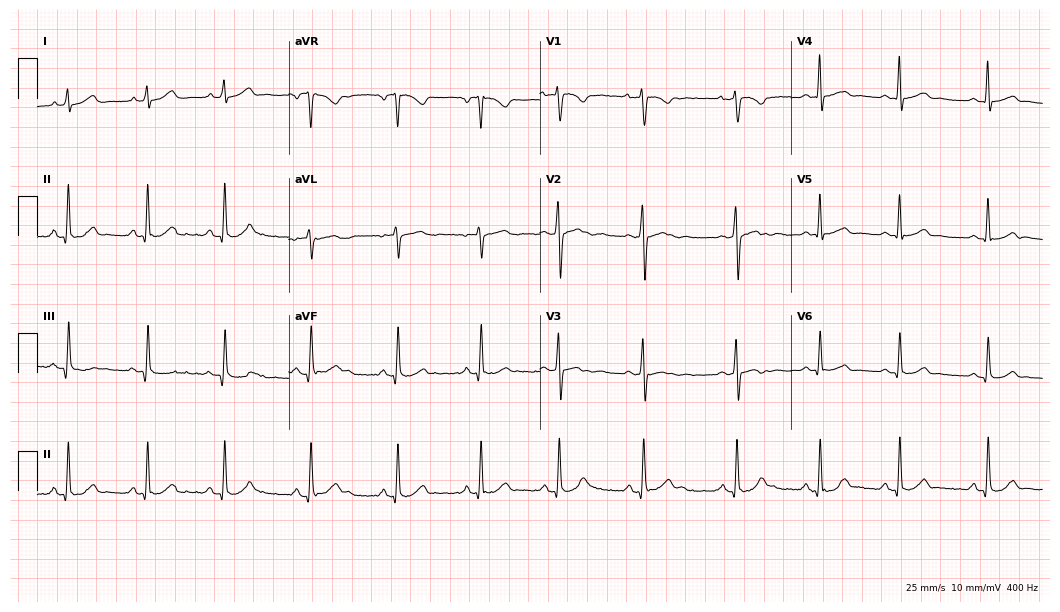
Standard 12-lead ECG recorded from a female, 22 years old. Read as a normal ECG.